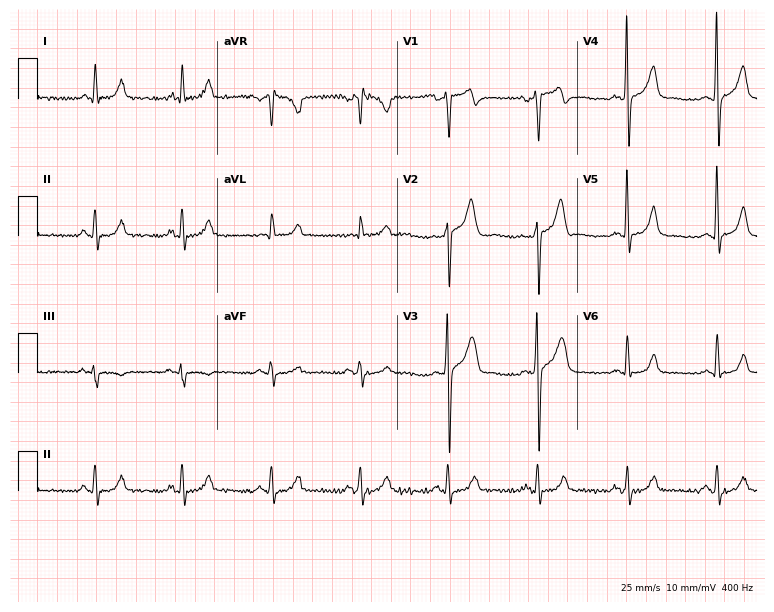
Electrocardiogram, a male patient, 58 years old. Of the six screened findings (first-degree AV block, right bundle branch block (RBBB), left bundle branch block (LBBB), sinus bradycardia, atrial fibrillation (AF), sinus tachycardia), none is recorded.